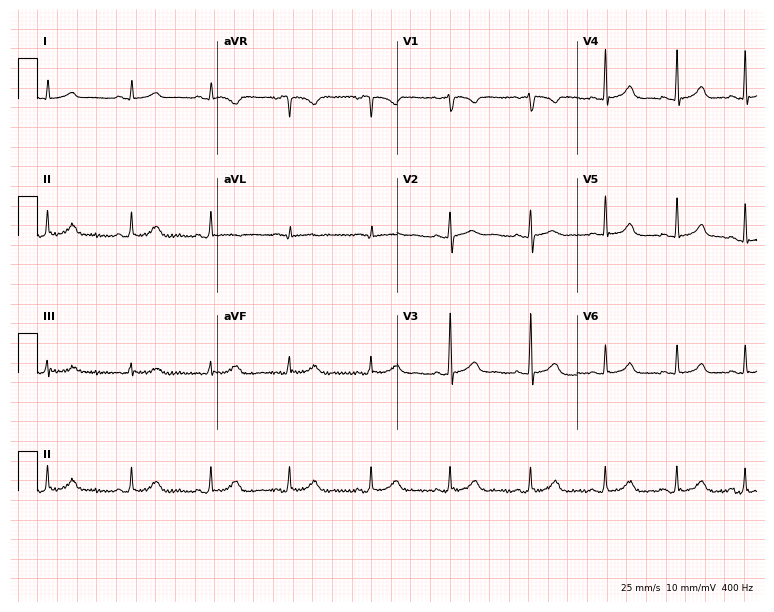
12-lead ECG (7.3-second recording at 400 Hz) from an 18-year-old female. Labelled as a normal ECG.